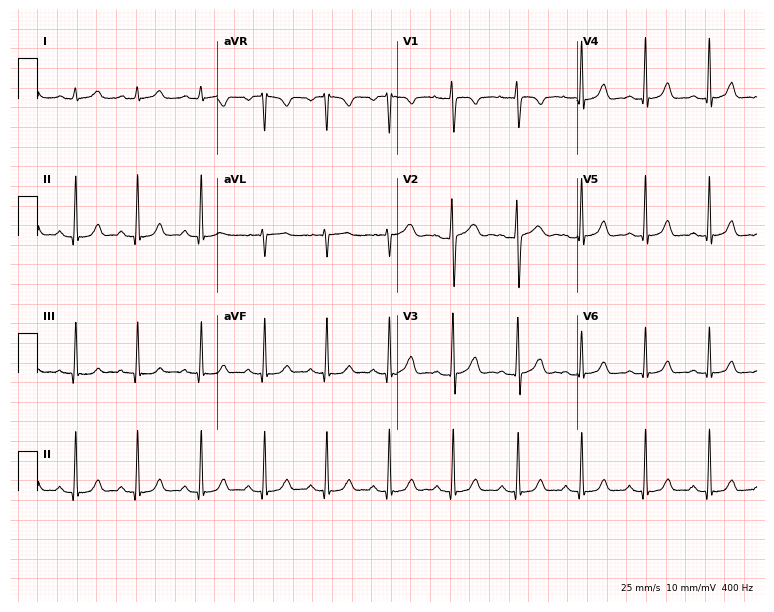
Standard 12-lead ECG recorded from a woman, 31 years old. Read as a normal ECG.